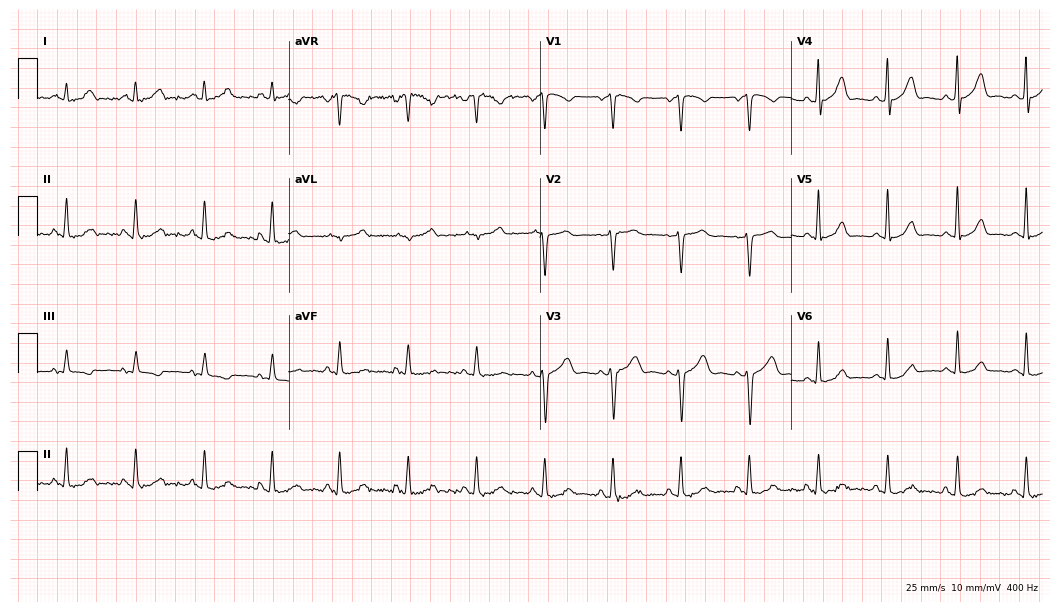
Resting 12-lead electrocardiogram. Patient: a woman, 47 years old. Read as a normal ECG.